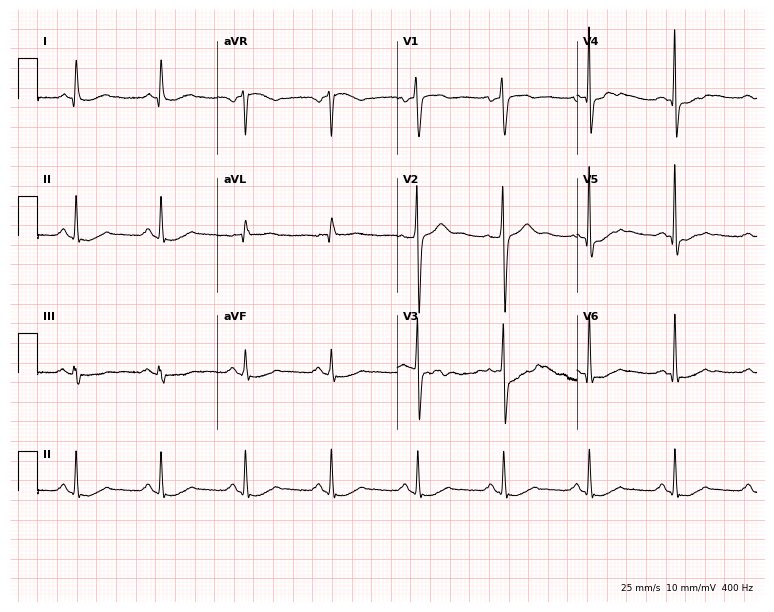
Standard 12-lead ECG recorded from a 64-year-old man. None of these six findings is recorded: first-degree AV block, right bundle branch block, left bundle branch block, sinus bradycardia, atrial fibrillation, sinus tachycardia.